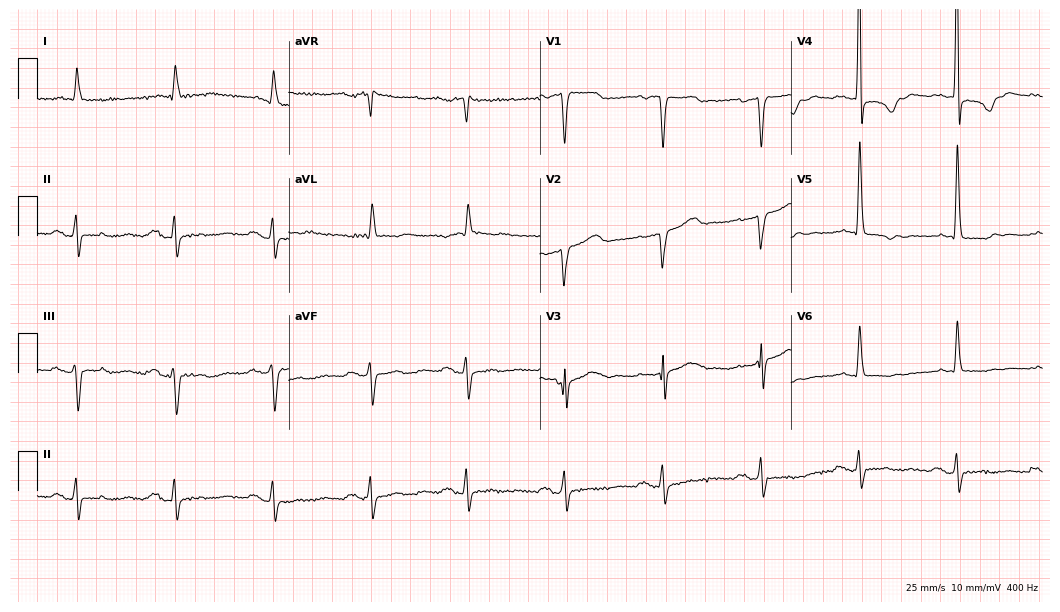
Electrocardiogram, a male, 69 years old. Interpretation includes first-degree AV block.